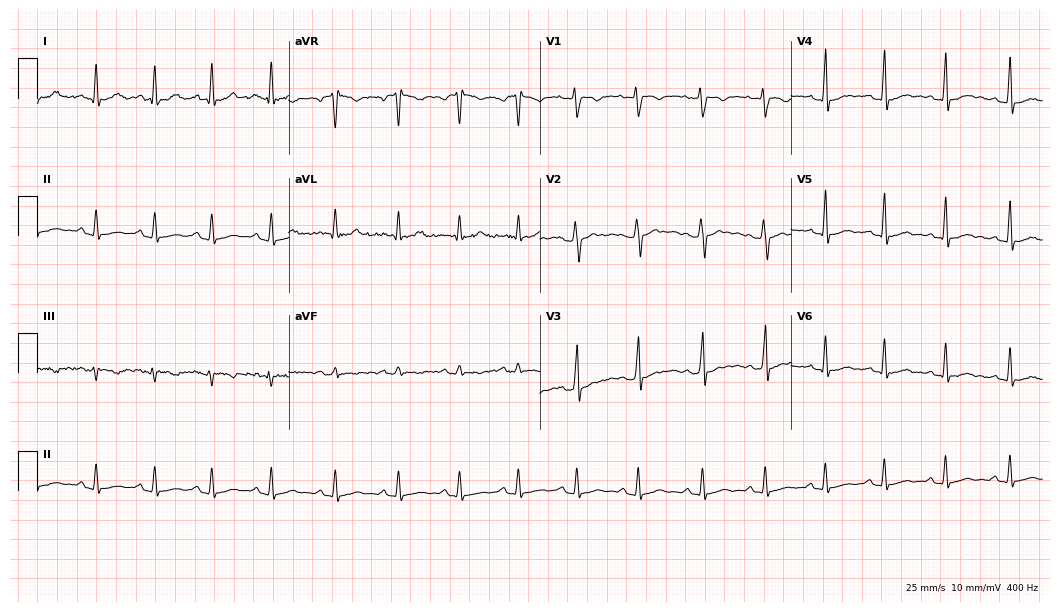
12-lead ECG (10.2-second recording at 400 Hz) from a female, 28 years old. Screened for six findings — first-degree AV block, right bundle branch block (RBBB), left bundle branch block (LBBB), sinus bradycardia, atrial fibrillation (AF), sinus tachycardia — none is recorded.